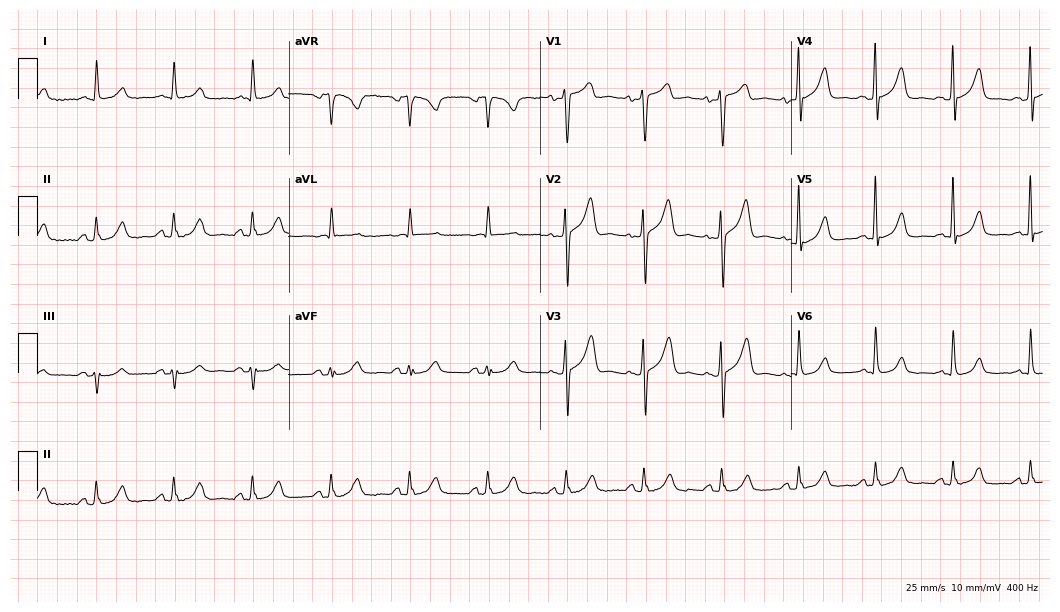
Standard 12-lead ECG recorded from an 84-year-old man. Read as a normal ECG.